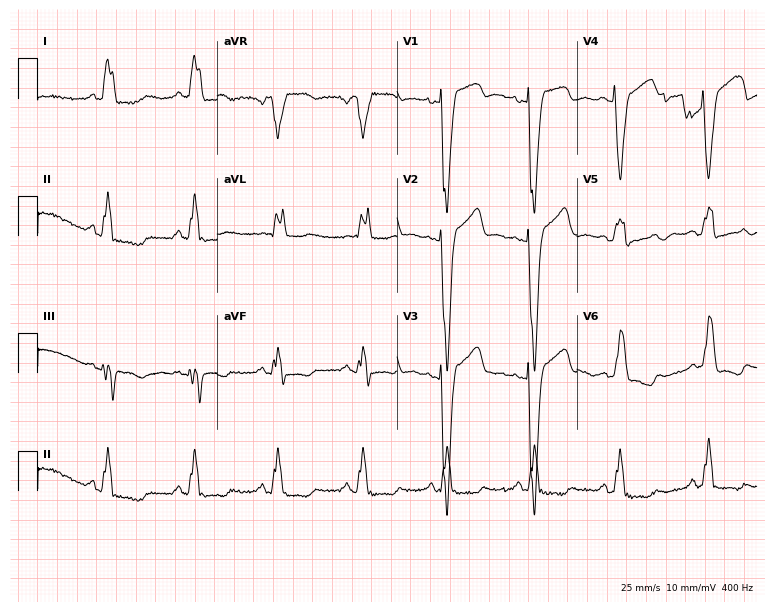
12-lead ECG from a 49-year-old woman (7.3-second recording at 400 Hz). Shows left bundle branch block.